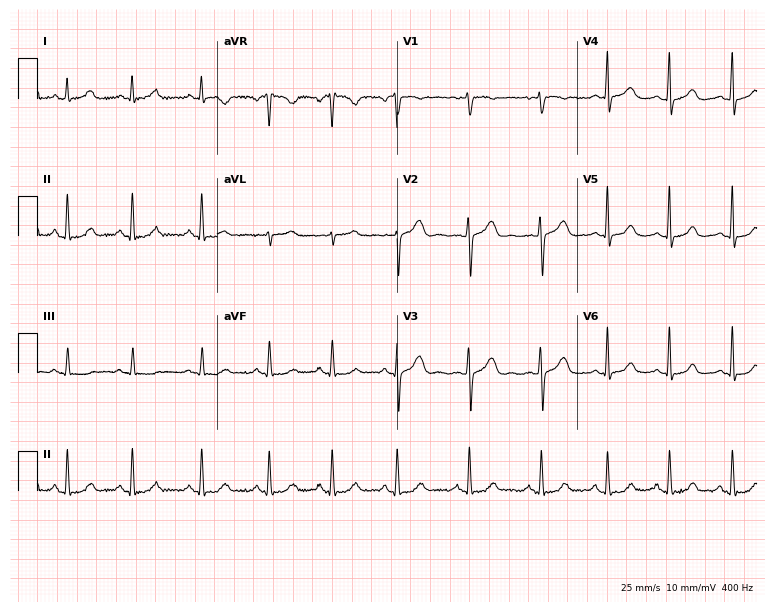
Electrocardiogram (7.3-second recording at 400 Hz), a female patient, 38 years old. Overall reading on record: normal ECG.